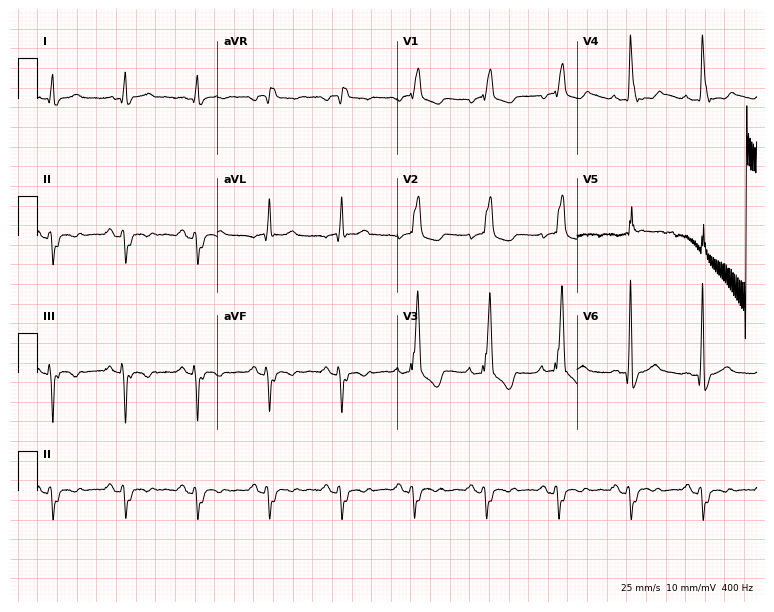
ECG — a 69-year-old man. Findings include right bundle branch block.